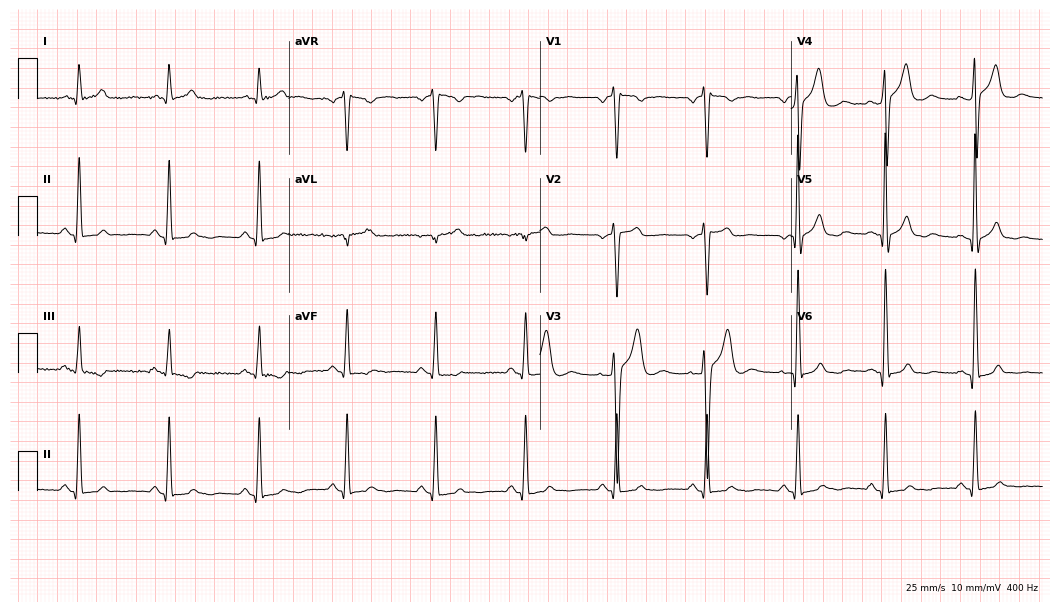
Standard 12-lead ECG recorded from a 37-year-old male patient. Read as a normal ECG.